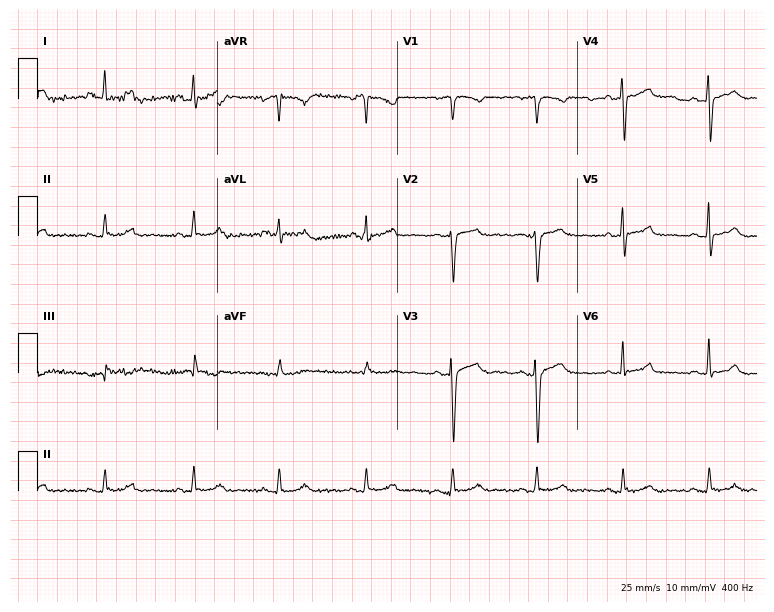
Standard 12-lead ECG recorded from a 46-year-old female. Read as a normal ECG.